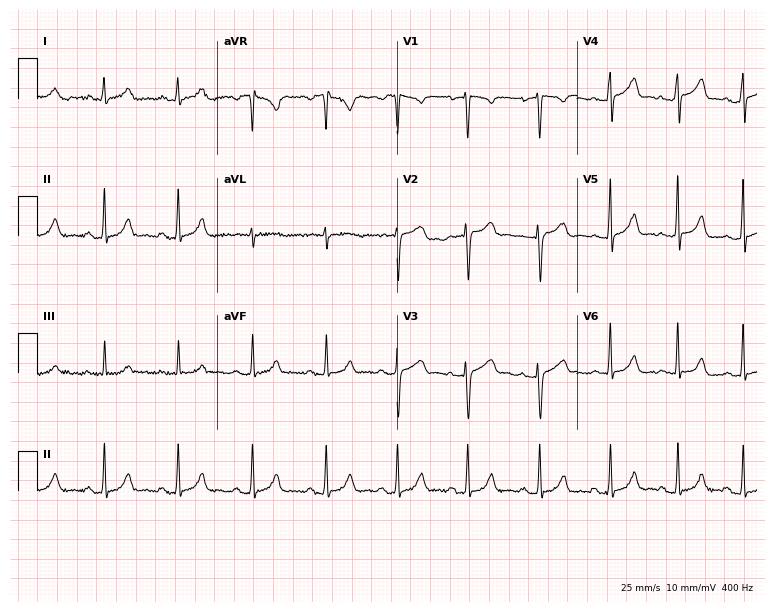
ECG — a 33-year-old female patient. Screened for six findings — first-degree AV block, right bundle branch block, left bundle branch block, sinus bradycardia, atrial fibrillation, sinus tachycardia — none is recorded. Findings outside these six are not listed.